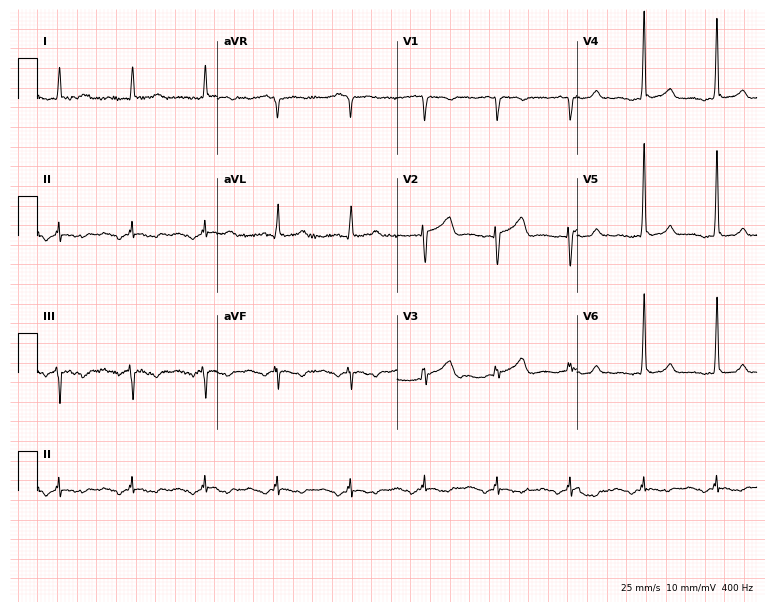
Resting 12-lead electrocardiogram (7.3-second recording at 400 Hz). Patient: a female, 73 years old. None of these six findings is recorded: first-degree AV block, right bundle branch block (RBBB), left bundle branch block (LBBB), sinus bradycardia, atrial fibrillation (AF), sinus tachycardia. Only these six findings were labelled.